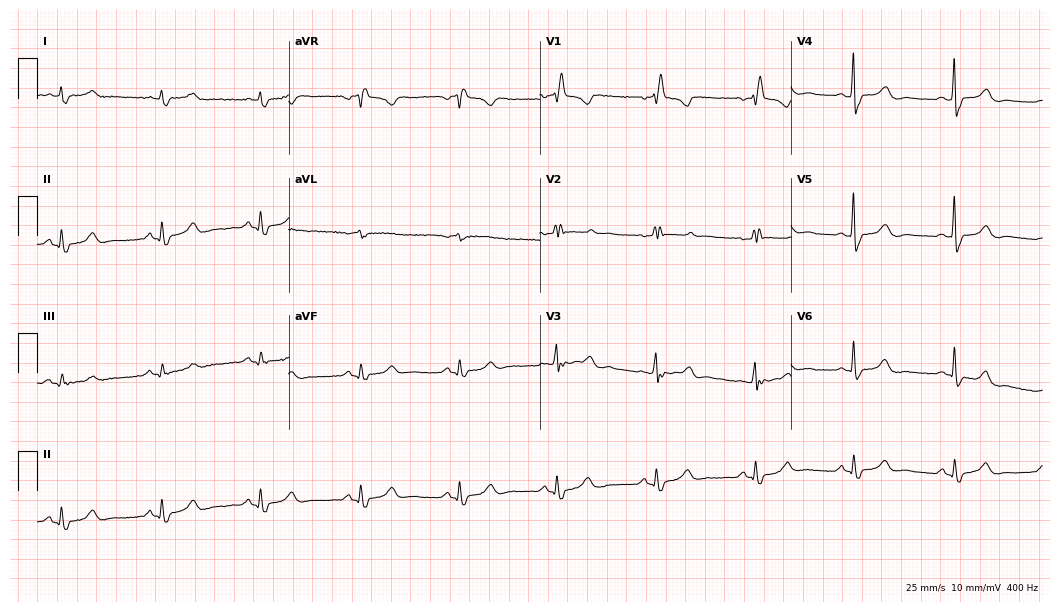
ECG — a female patient, 70 years old. Screened for six findings — first-degree AV block, right bundle branch block (RBBB), left bundle branch block (LBBB), sinus bradycardia, atrial fibrillation (AF), sinus tachycardia — none is recorded.